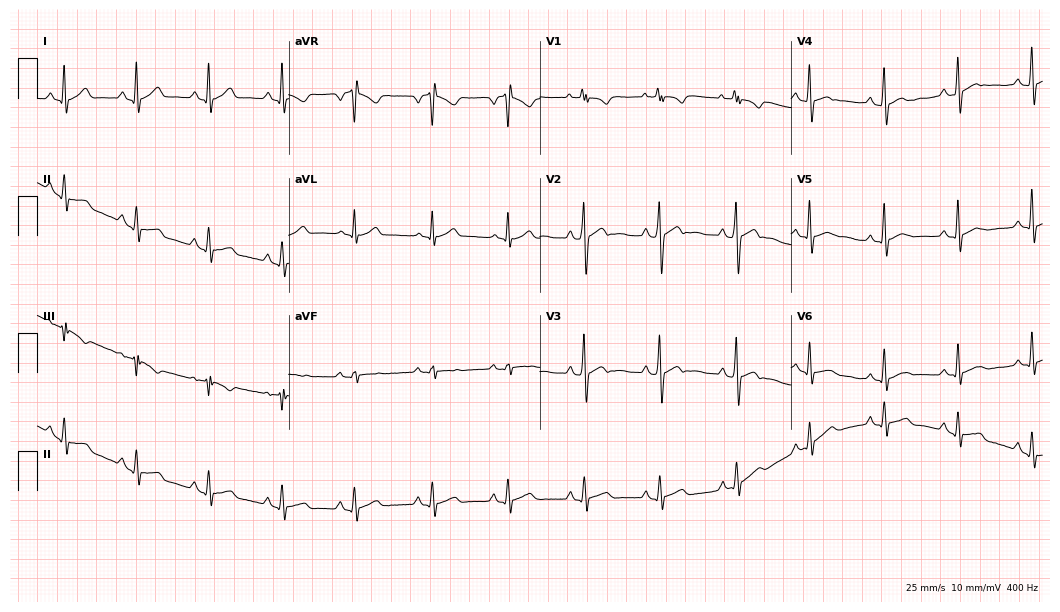
12-lead ECG from a 26-year-old male. Screened for six findings — first-degree AV block, right bundle branch block, left bundle branch block, sinus bradycardia, atrial fibrillation, sinus tachycardia — none is recorded. Findings outside these six are not listed.